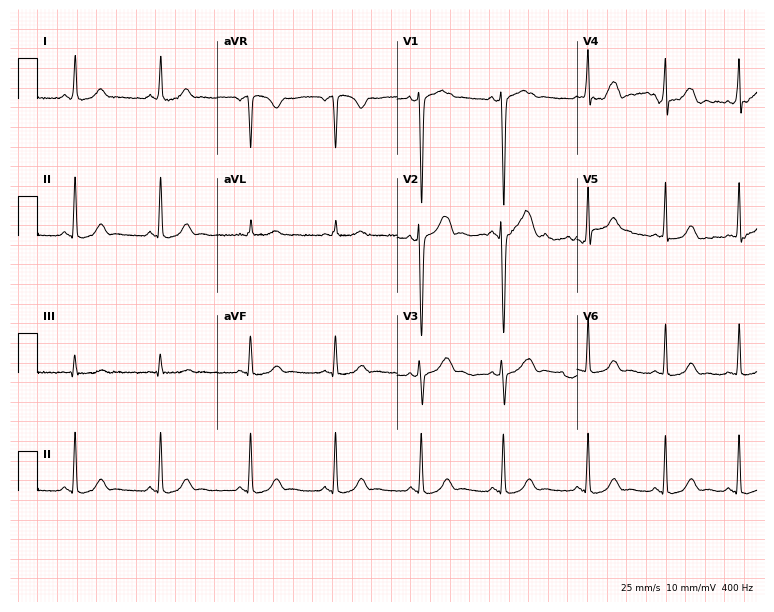
Electrocardiogram (7.3-second recording at 400 Hz), a female patient, 26 years old. Of the six screened findings (first-degree AV block, right bundle branch block (RBBB), left bundle branch block (LBBB), sinus bradycardia, atrial fibrillation (AF), sinus tachycardia), none is recorded.